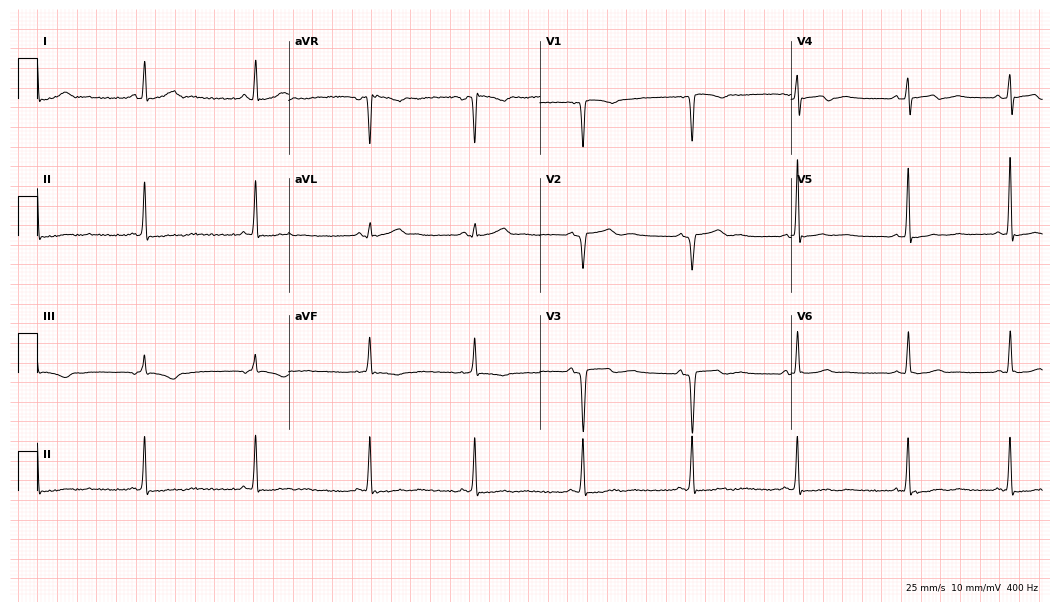
12-lead ECG from a woman, 31 years old. No first-degree AV block, right bundle branch block, left bundle branch block, sinus bradycardia, atrial fibrillation or sinus tachycardia recorded for this tracing.